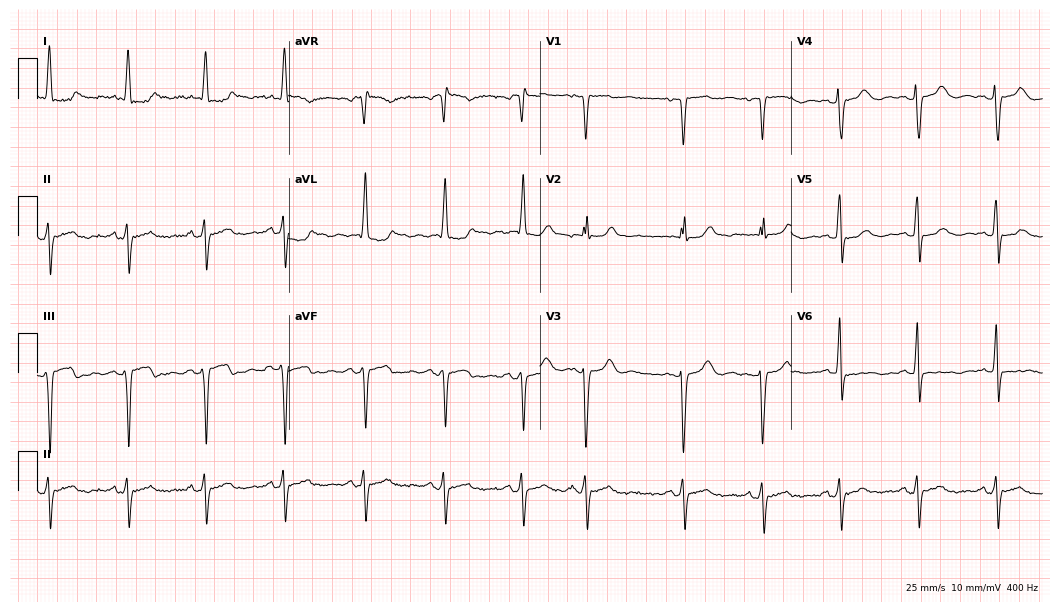
ECG — an 84-year-old female patient. Screened for six findings — first-degree AV block, right bundle branch block, left bundle branch block, sinus bradycardia, atrial fibrillation, sinus tachycardia — none is recorded.